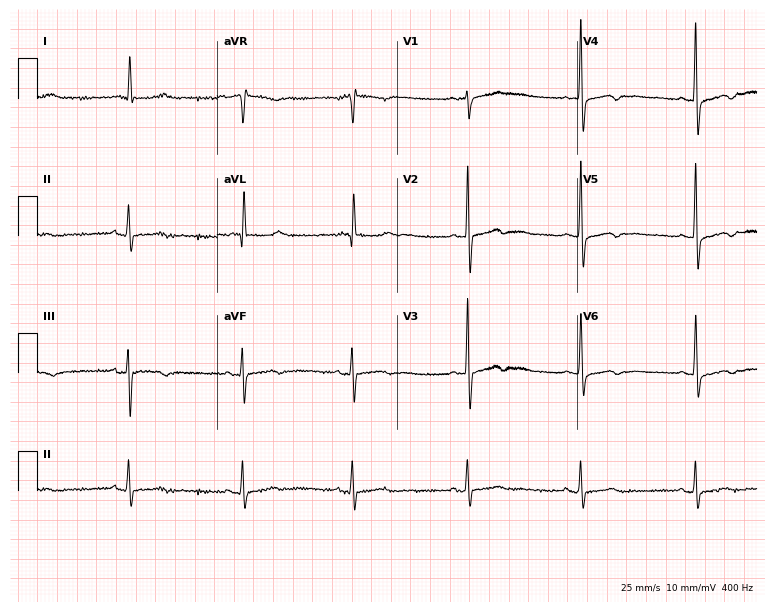
12-lead ECG from an 86-year-old man (7.3-second recording at 400 Hz). No first-degree AV block, right bundle branch block (RBBB), left bundle branch block (LBBB), sinus bradycardia, atrial fibrillation (AF) or sinus tachycardia recorded for this tracing. Findings outside these six are not listed.